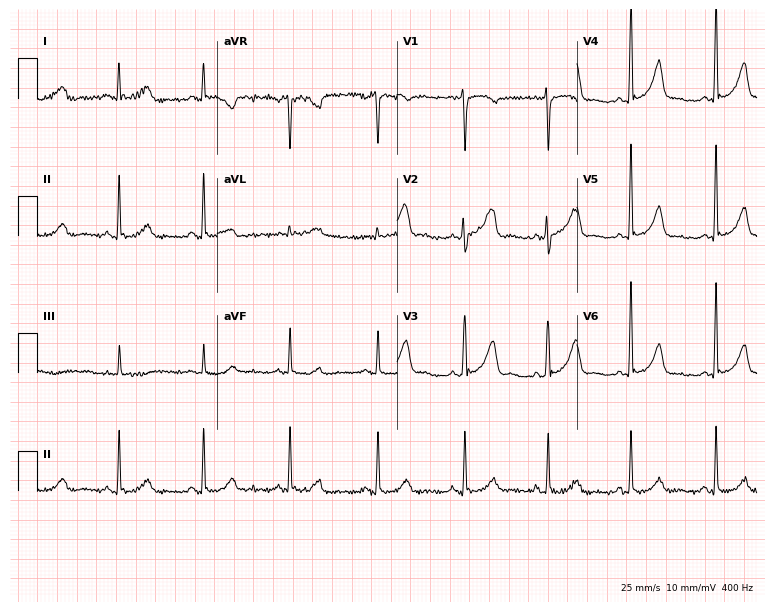
Electrocardiogram (7.3-second recording at 400 Hz), a woman, 28 years old. Of the six screened findings (first-degree AV block, right bundle branch block, left bundle branch block, sinus bradycardia, atrial fibrillation, sinus tachycardia), none is recorded. Only these six findings were labelled.